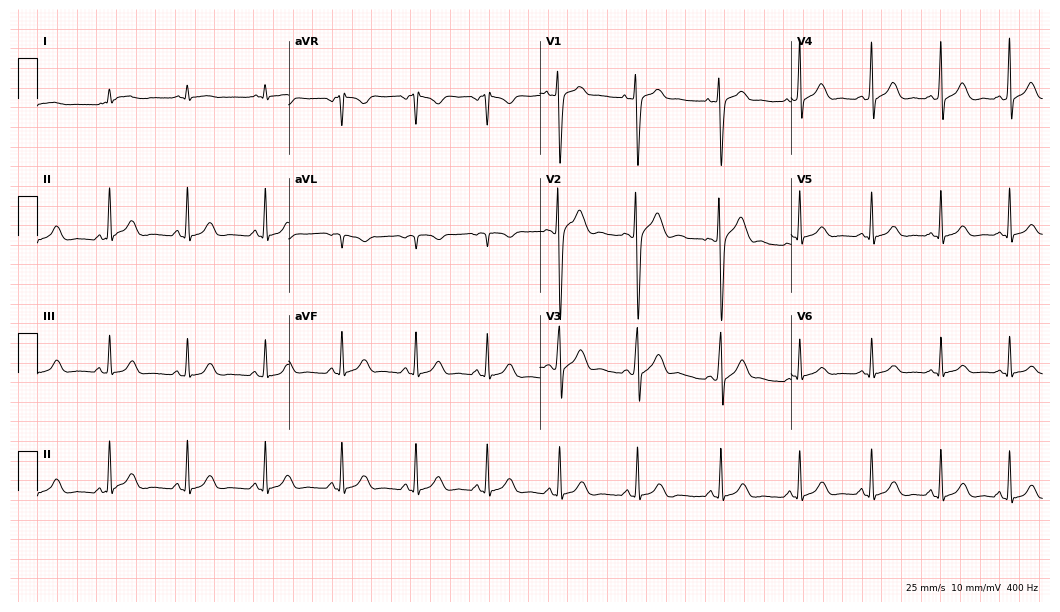
Electrocardiogram, a man, 21 years old. Overall reading on record: normal ECG.